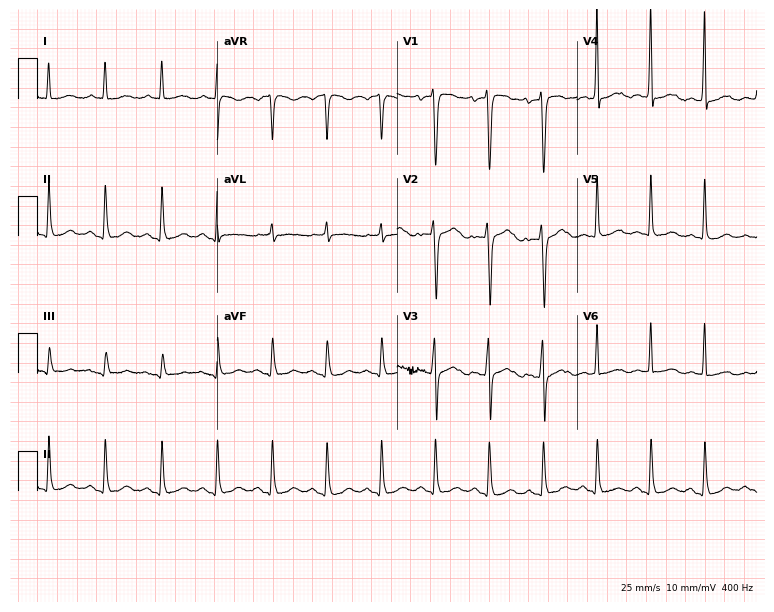
Standard 12-lead ECG recorded from a woman, 39 years old (7.3-second recording at 400 Hz). None of these six findings is recorded: first-degree AV block, right bundle branch block, left bundle branch block, sinus bradycardia, atrial fibrillation, sinus tachycardia.